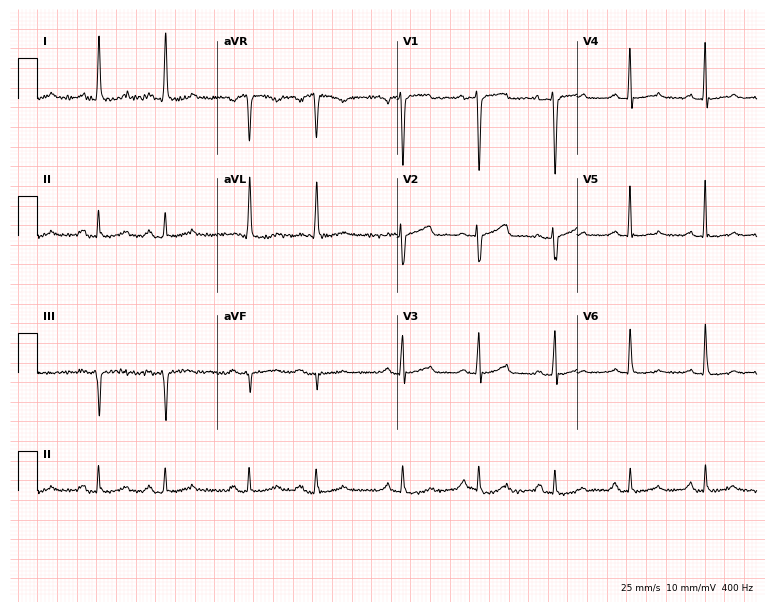
Standard 12-lead ECG recorded from a 64-year-old woman. None of these six findings is recorded: first-degree AV block, right bundle branch block (RBBB), left bundle branch block (LBBB), sinus bradycardia, atrial fibrillation (AF), sinus tachycardia. Other findings, if any, are not listed.